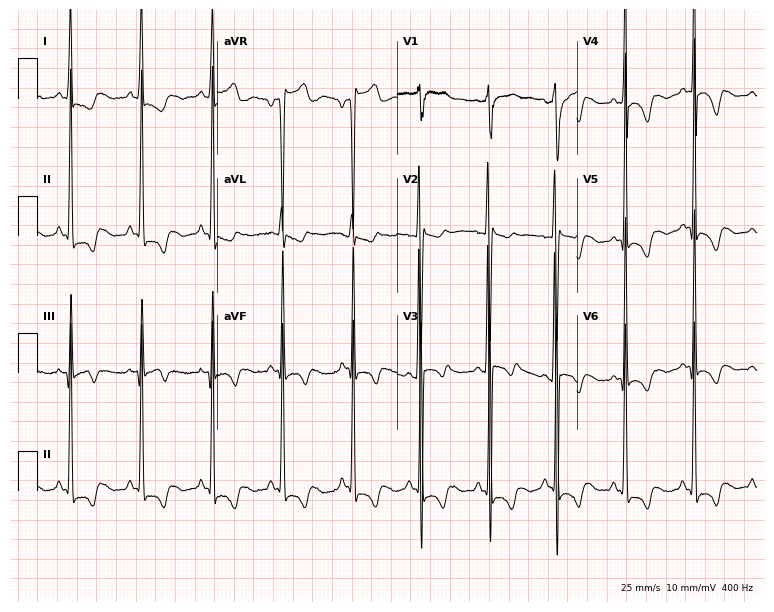
12-lead ECG from a 21-year-old woman. Screened for six findings — first-degree AV block, right bundle branch block (RBBB), left bundle branch block (LBBB), sinus bradycardia, atrial fibrillation (AF), sinus tachycardia — none is recorded. Other findings, if any, are not listed.